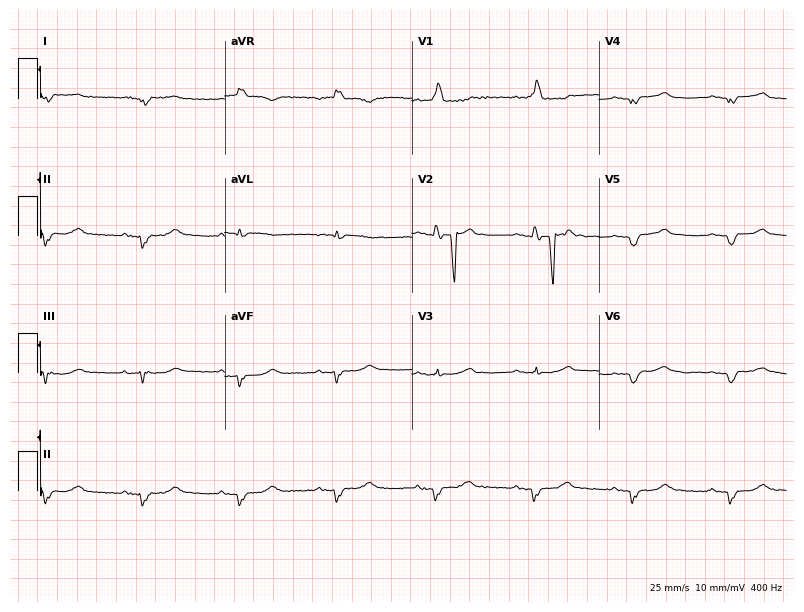
Electrocardiogram (7.6-second recording at 400 Hz), a 72-year-old woman. Of the six screened findings (first-degree AV block, right bundle branch block, left bundle branch block, sinus bradycardia, atrial fibrillation, sinus tachycardia), none is recorded.